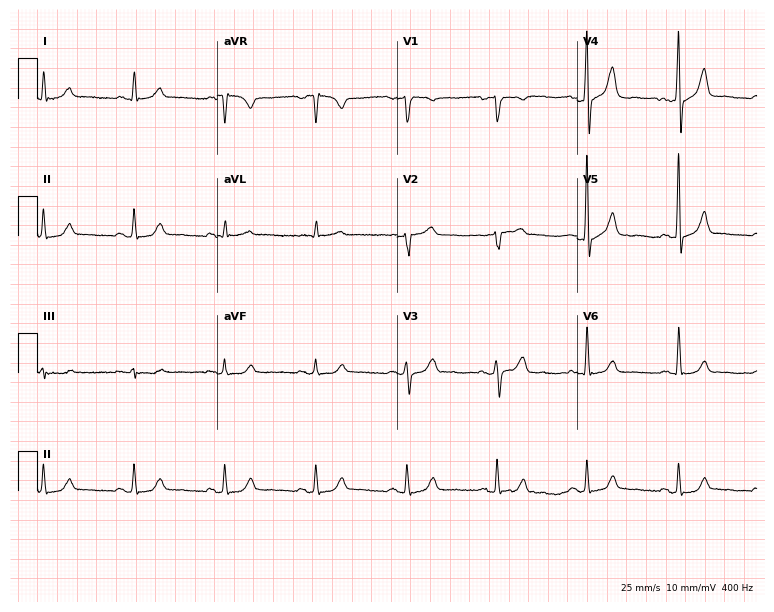
12-lead ECG from a man, 76 years old (7.3-second recording at 400 Hz). Recorded interpretation: within normal limits.